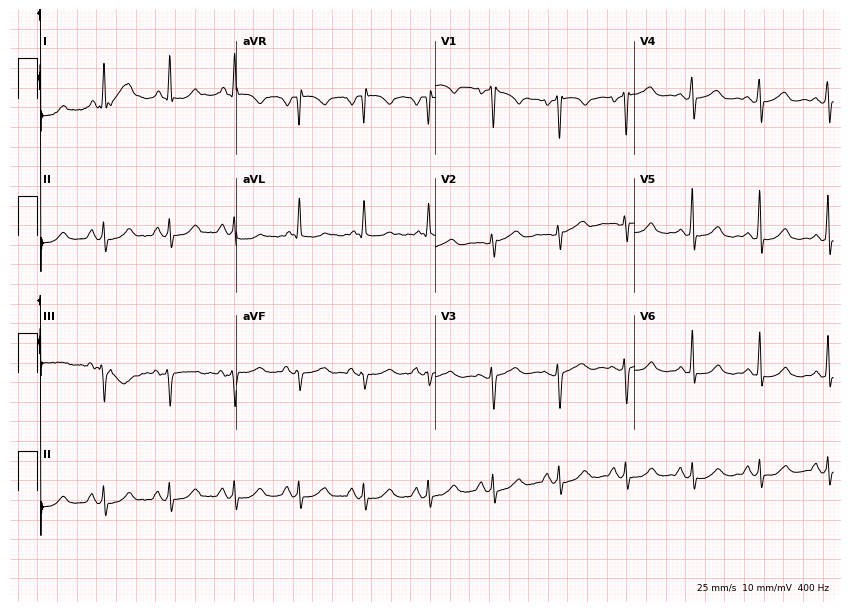
Resting 12-lead electrocardiogram. Patient: a 49-year-old female. None of these six findings is recorded: first-degree AV block, right bundle branch block (RBBB), left bundle branch block (LBBB), sinus bradycardia, atrial fibrillation (AF), sinus tachycardia.